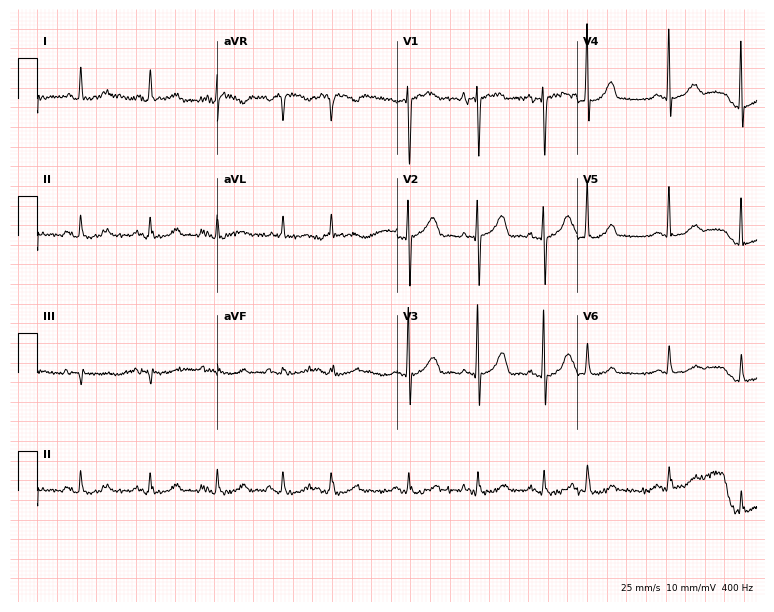
Electrocardiogram, a woman, 80 years old. Of the six screened findings (first-degree AV block, right bundle branch block, left bundle branch block, sinus bradycardia, atrial fibrillation, sinus tachycardia), none is recorded. Only these six findings were labelled.